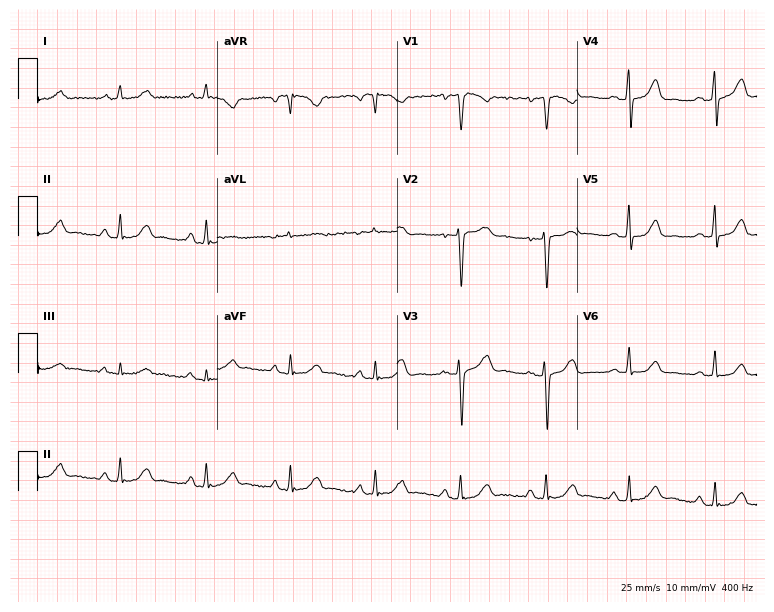
Standard 12-lead ECG recorded from a female patient, 38 years old. None of these six findings is recorded: first-degree AV block, right bundle branch block (RBBB), left bundle branch block (LBBB), sinus bradycardia, atrial fibrillation (AF), sinus tachycardia. Only these six findings were labelled.